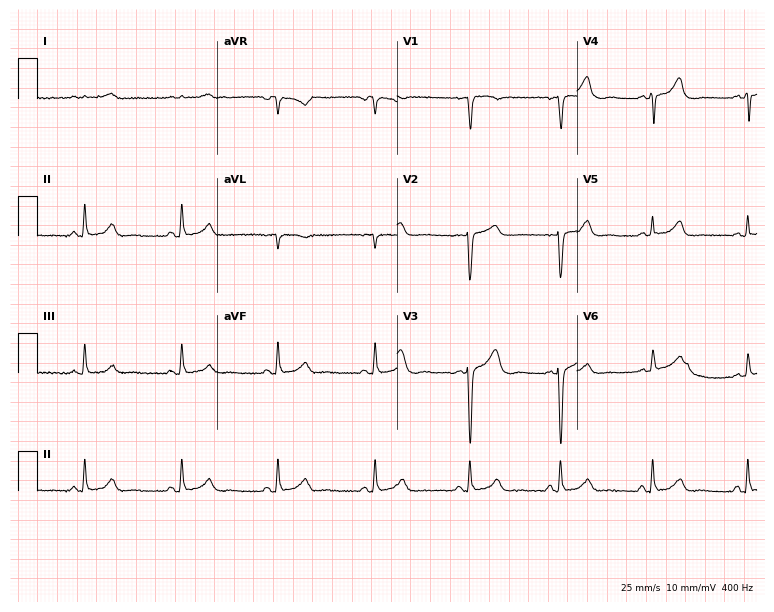
12-lead ECG from a female patient, 47 years old. Labelled as a normal ECG.